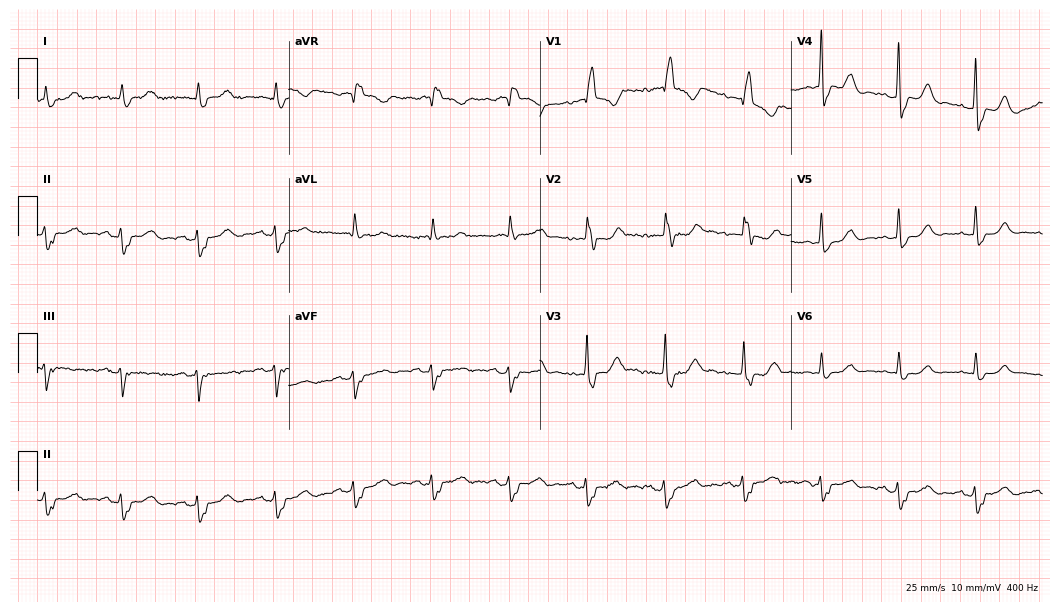
Resting 12-lead electrocardiogram. Patient: a female, 75 years old. The tracing shows right bundle branch block.